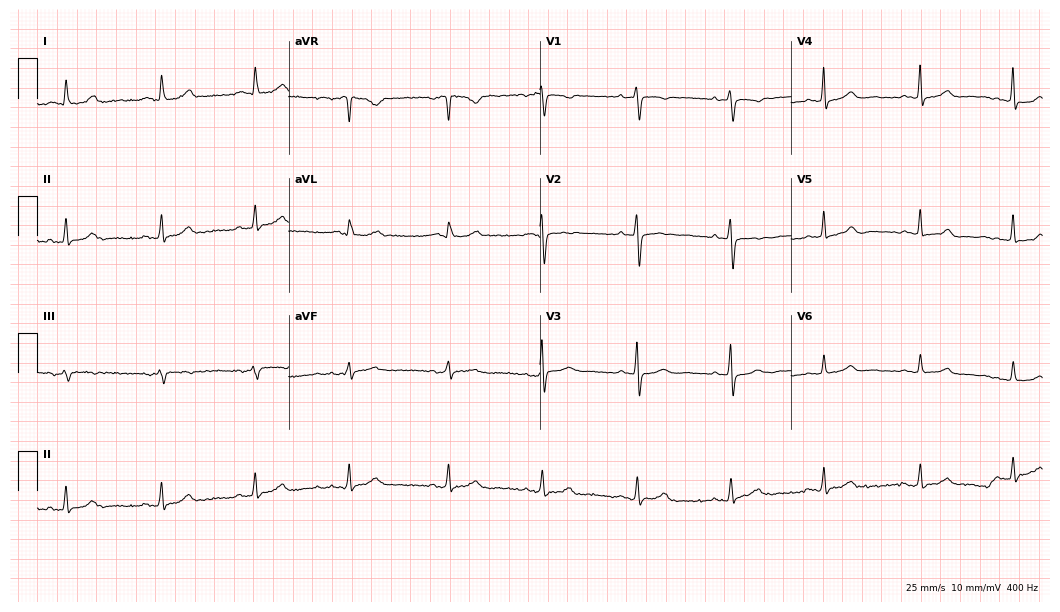
12-lead ECG from a female patient, 66 years old. Labelled as a normal ECG.